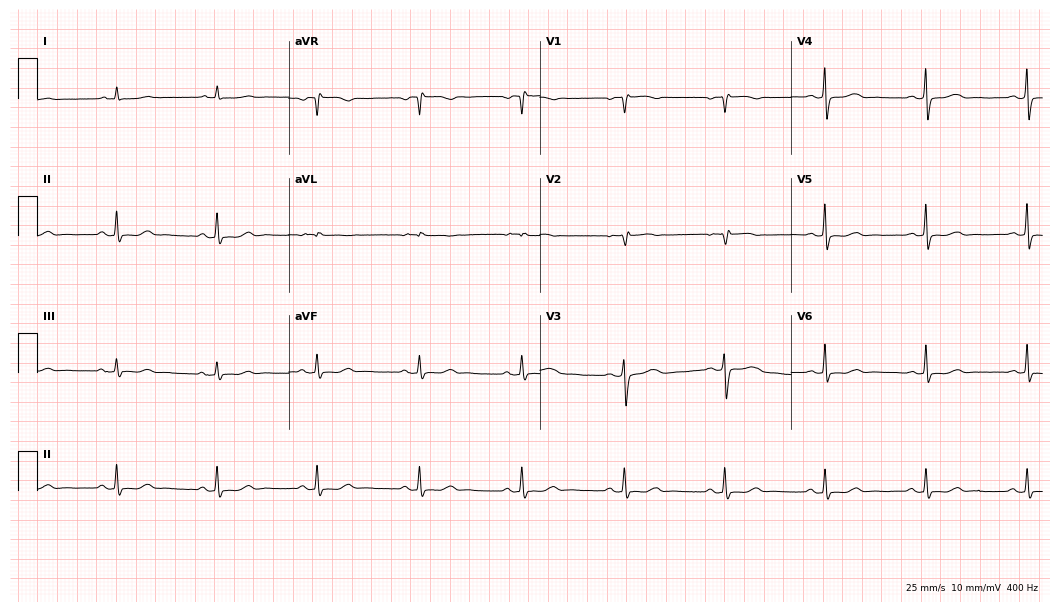
ECG (10.2-second recording at 400 Hz) — a 61-year-old woman. Screened for six findings — first-degree AV block, right bundle branch block (RBBB), left bundle branch block (LBBB), sinus bradycardia, atrial fibrillation (AF), sinus tachycardia — none is recorded. Only these six findings were labelled.